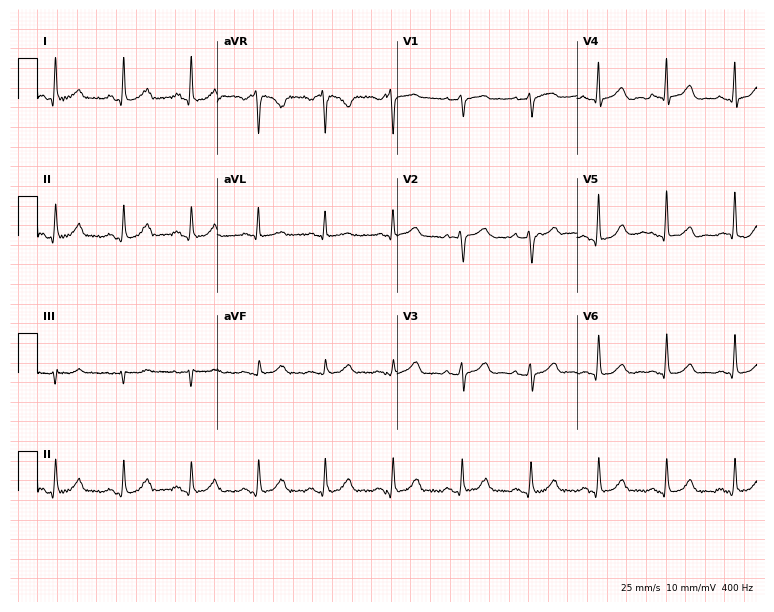
12-lead ECG from a female patient, 63 years old (7.3-second recording at 400 Hz). Recorded interpretation: within normal limits.